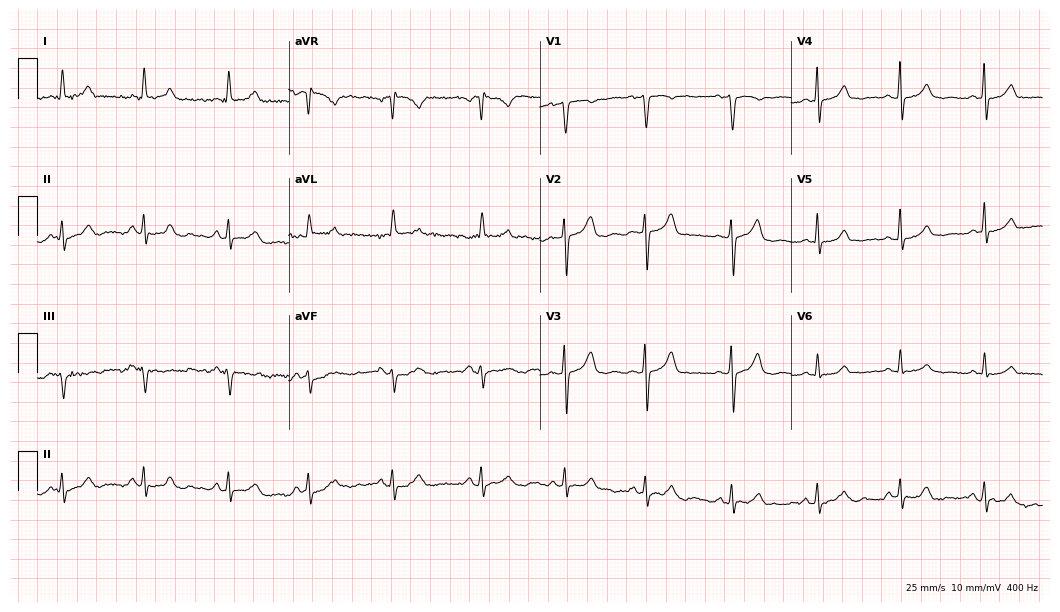
12-lead ECG (10.2-second recording at 400 Hz) from a 45-year-old female patient. Labelled as a normal ECG.